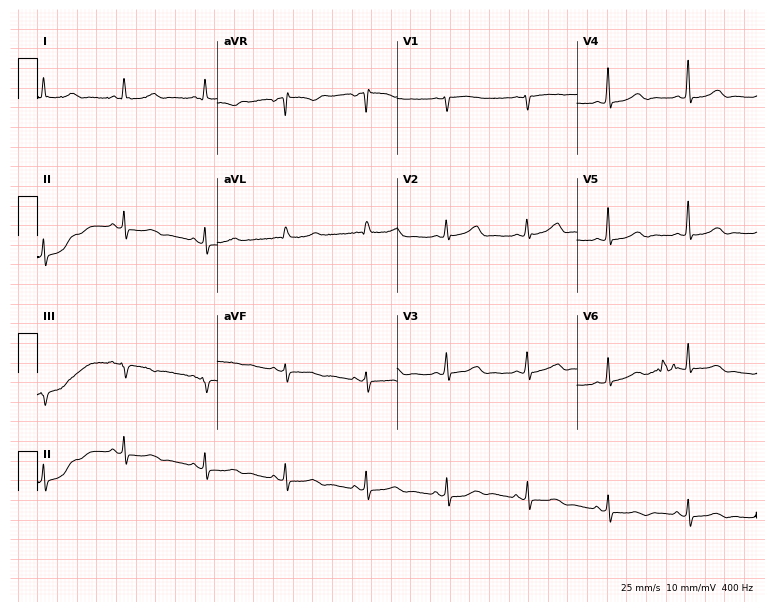
12-lead ECG from a woman, 65 years old (7.3-second recording at 400 Hz). No first-degree AV block, right bundle branch block, left bundle branch block, sinus bradycardia, atrial fibrillation or sinus tachycardia recorded for this tracing.